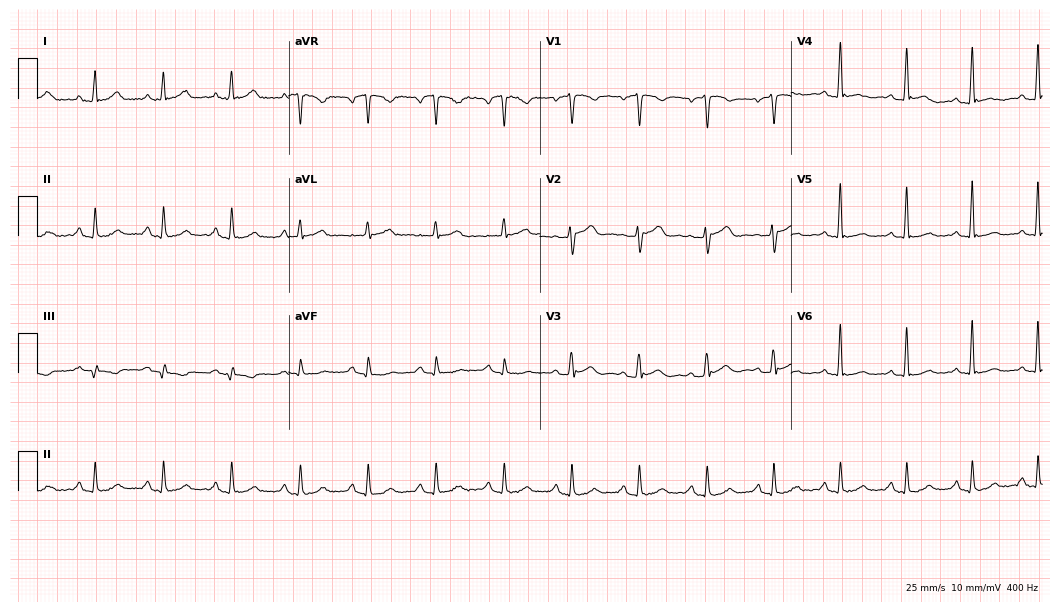
Electrocardiogram, a 65-year-old man. Overall reading on record: normal ECG.